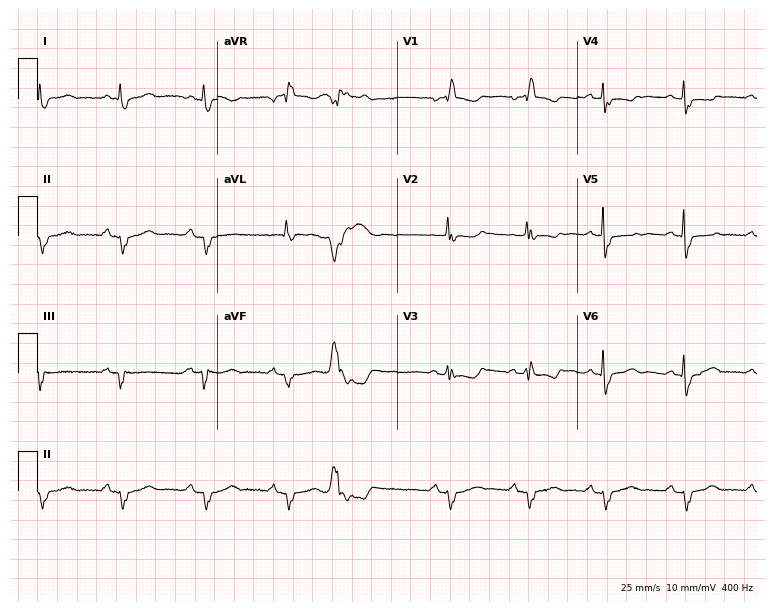
12-lead ECG from an 80-year-old female (7.3-second recording at 400 Hz). Shows right bundle branch block.